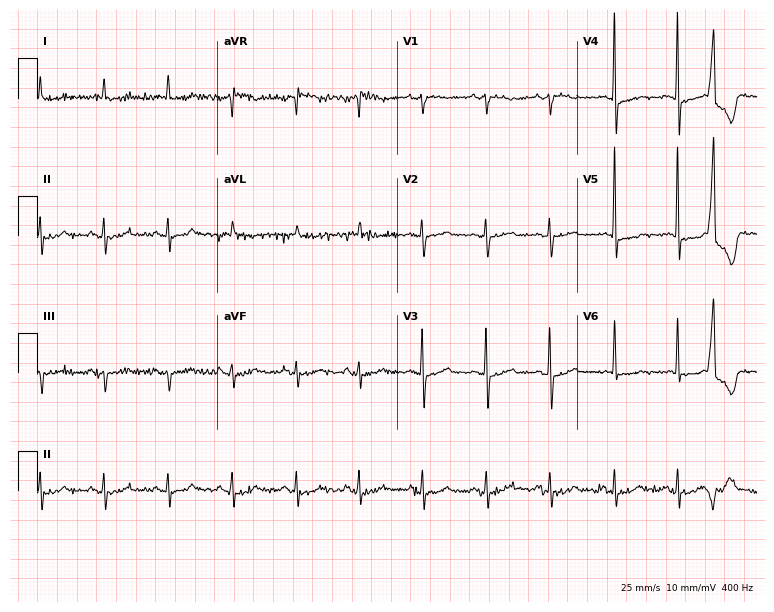
12-lead ECG from a 78-year-old male patient (7.3-second recording at 400 Hz). No first-degree AV block, right bundle branch block, left bundle branch block, sinus bradycardia, atrial fibrillation or sinus tachycardia recorded for this tracing.